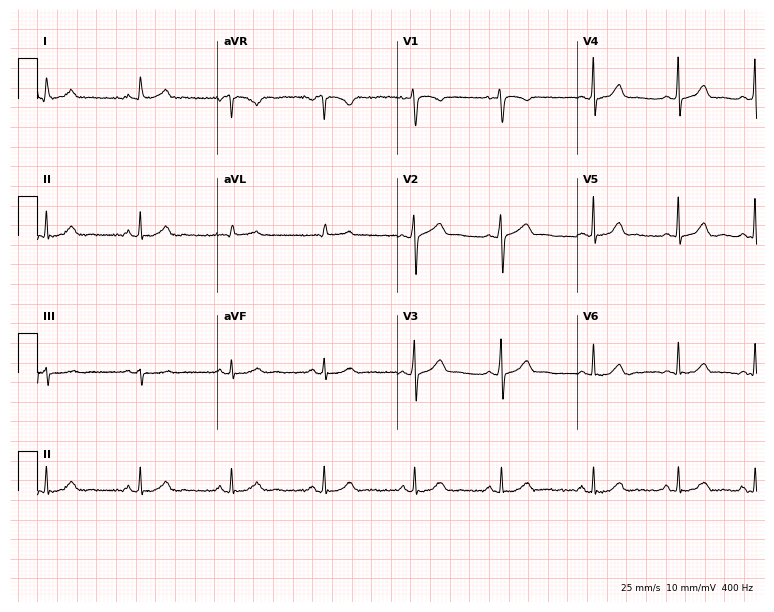
Resting 12-lead electrocardiogram (7.3-second recording at 400 Hz). Patient: a male, 34 years old. Read as a normal ECG.